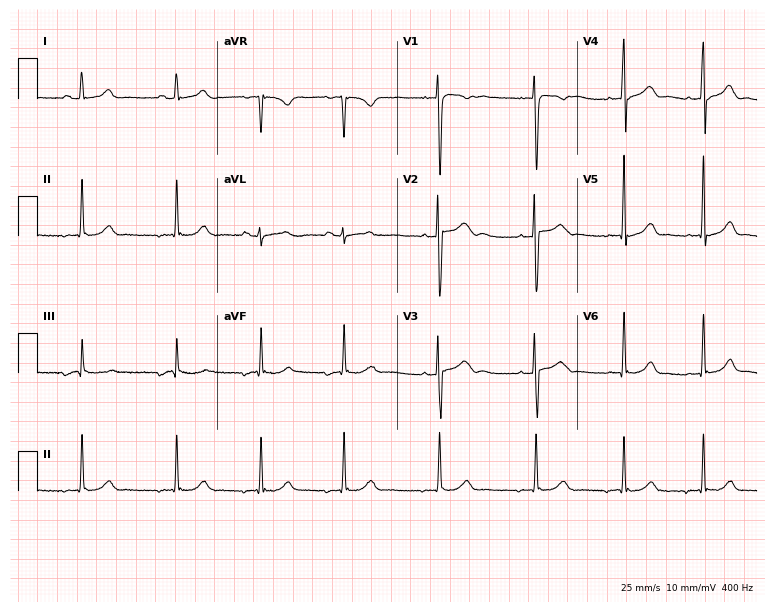
12-lead ECG from a 19-year-old female patient (7.3-second recording at 400 Hz). No first-degree AV block, right bundle branch block, left bundle branch block, sinus bradycardia, atrial fibrillation or sinus tachycardia recorded for this tracing.